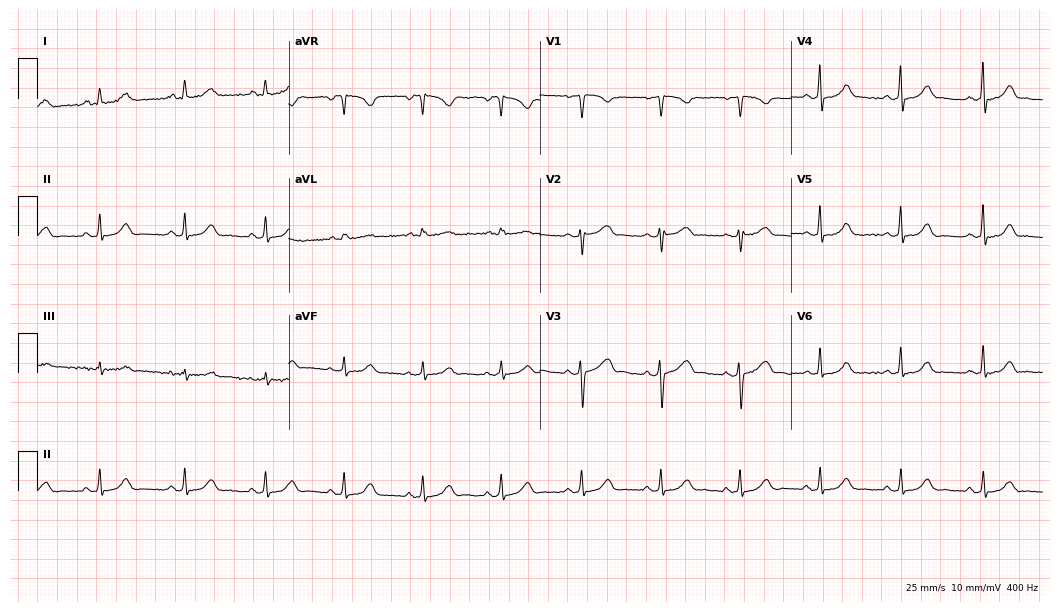
Standard 12-lead ECG recorded from a female, 41 years old (10.2-second recording at 400 Hz). Read as a normal ECG.